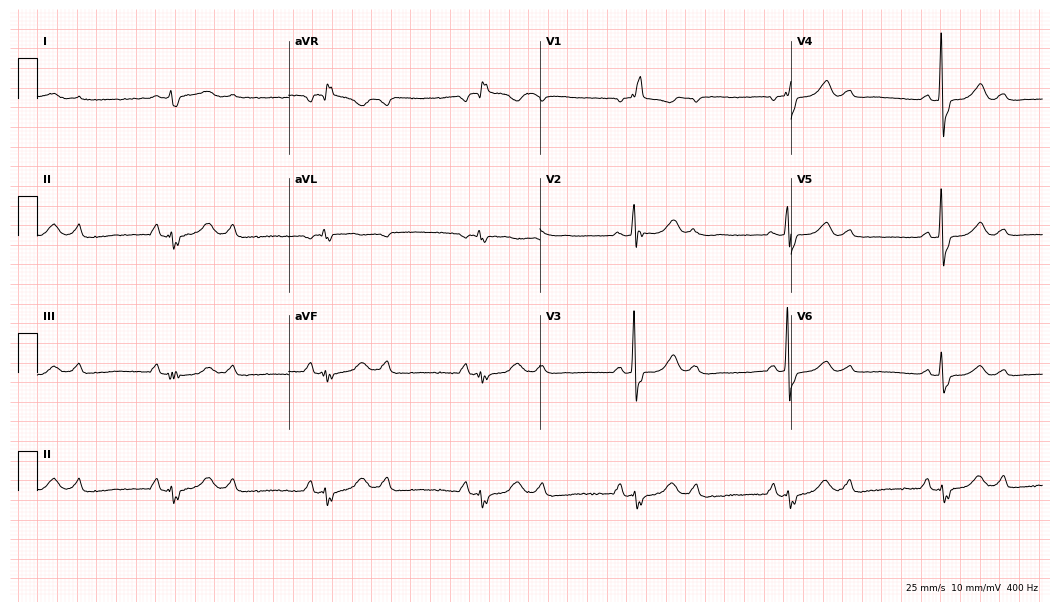
12-lead ECG from a woman, 78 years old. Findings include right bundle branch block.